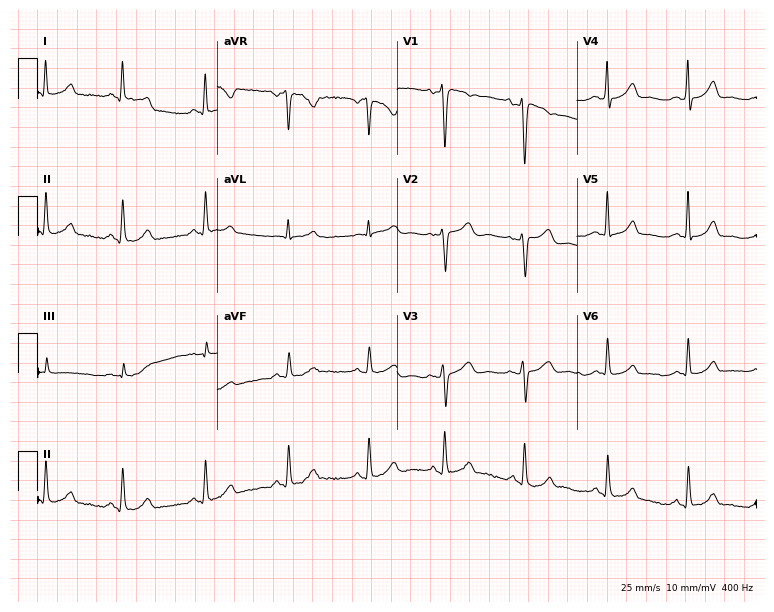
12-lead ECG (7.3-second recording at 400 Hz) from a female, 30 years old. Screened for six findings — first-degree AV block, right bundle branch block (RBBB), left bundle branch block (LBBB), sinus bradycardia, atrial fibrillation (AF), sinus tachycardia — none is recorded. Other findings, if any, are not listed.